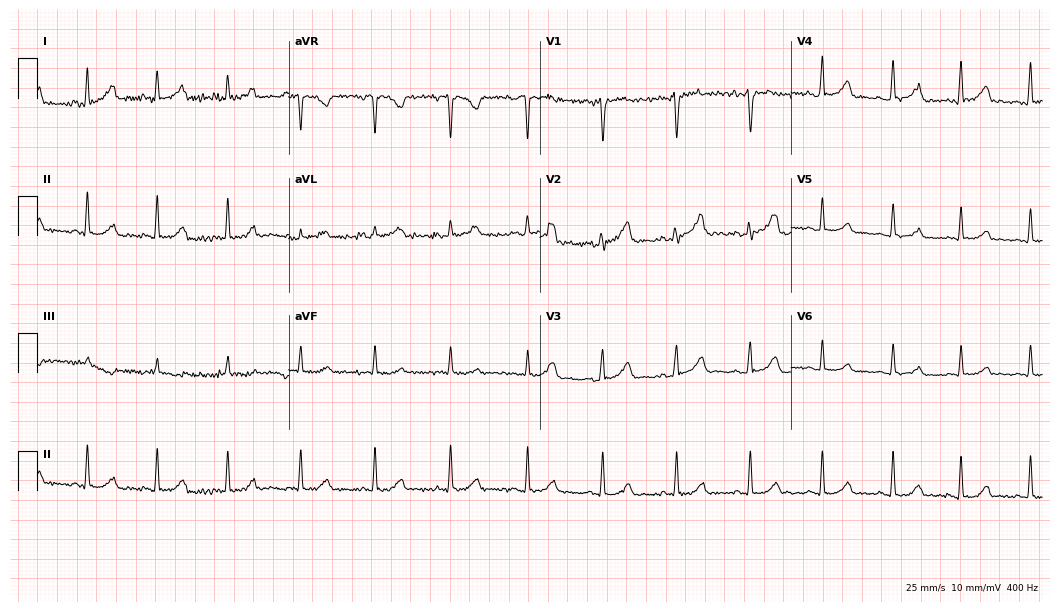
Standard 12-lead ECG recorded from a woman, 22 years old (10.2-second recording at 400 Hz). None of these six findings is recorded: first-degree AV block, right bundle branch block (RBBB), left bundle branch block (LBBB), sinus bradycardia, atrial fibrillation (AF), sinus tachycardia. Other findings, if any, are not listed.